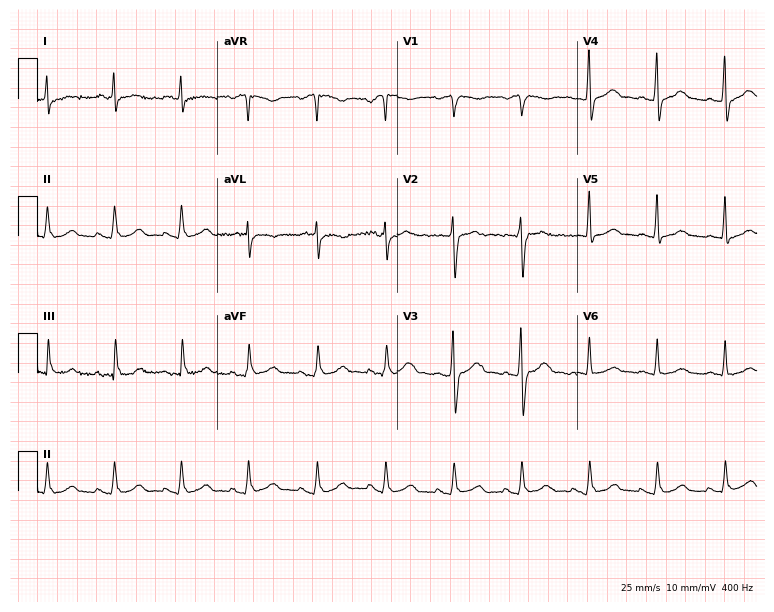
12-lead ECG from a male, 46 years old. Screened for six findings — first-degree AV block, right bundle branch block (RBBB), left bundle branch block (LBBB), sinus bradycardia, atrial fibrillation (AF), sinus tachycardia — none is recorded. Findings outside these six are not listed.